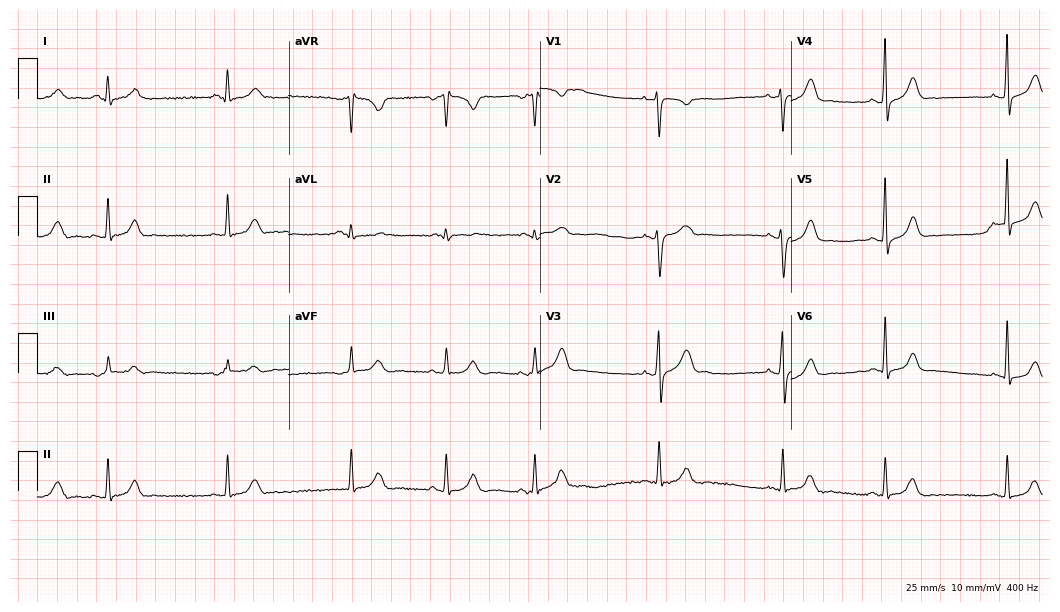
Resting 12-lead electrocardiogram (10.2-second recording at 400 Hz). Patient: a female, 19 years old. None of these six findings is recorded: first-degree AV block, right bundle branch block, left bundle branch block, sinus bradycardia, atrial fibrillation, sinus tachycardia.